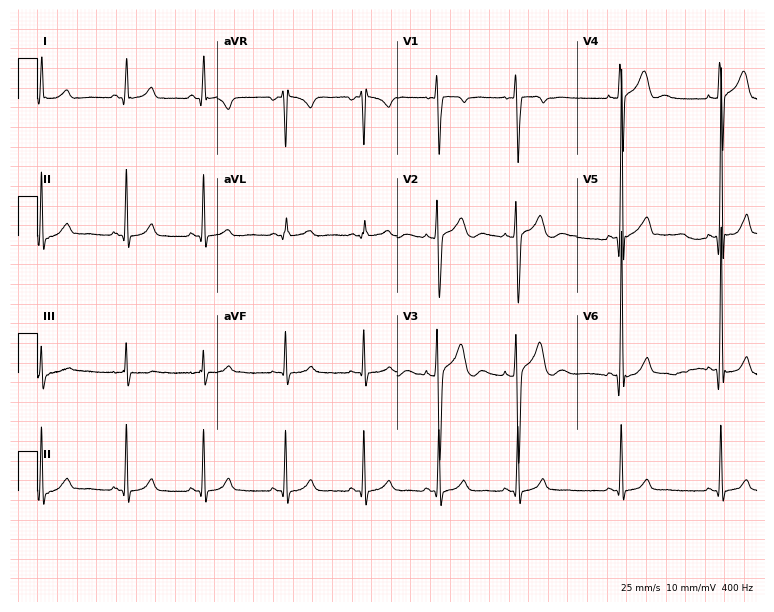
12-lead ECG from a 19-year-old male patient (7.3-second recording at 400 Hz). No first-degree AV block, right bundle branch block (RBBB), left bundle branch block (LBBB), sinus bradycardia, atrial fibrillation (AF) or sinus tachycardia recorded for this tracing.